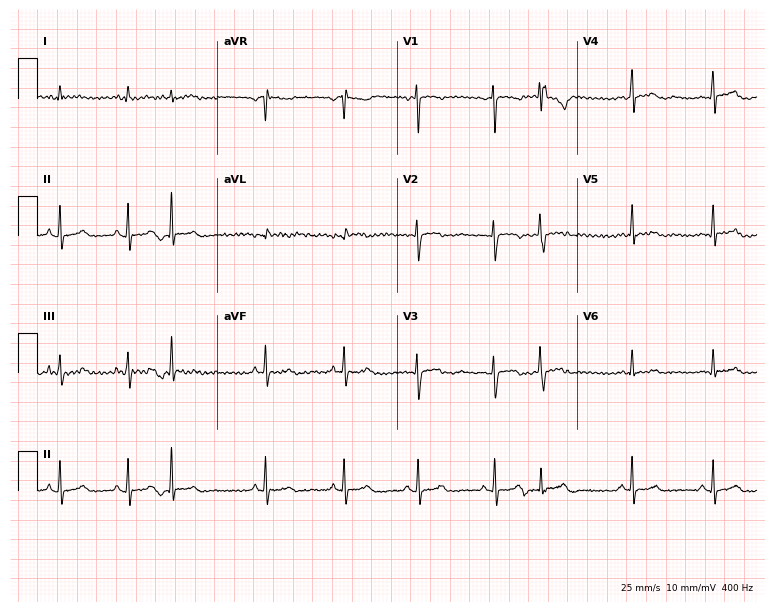
12-lead ECG from a female patient, 20 years old. No first-degree AV block, right bundle branch block, left bundle branch block, sinus bradycardia, atrial fibrillation or sinus tachycardia recorded for this tracing.